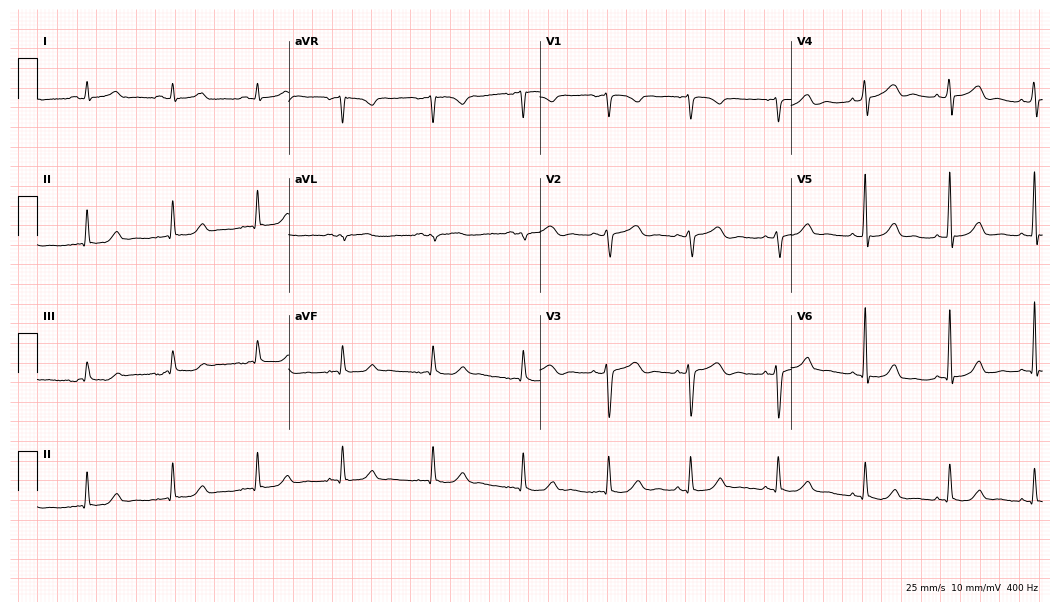
12-lead ECG (10.2-second recording at 400 Hz) from a woman, 48 years old. Screened for six findings — first-degree AV block, right bundle branch block, left bundle branch block, sinus bradycardia, atrial fibrillation, sinus tachycardia — none is recorded.